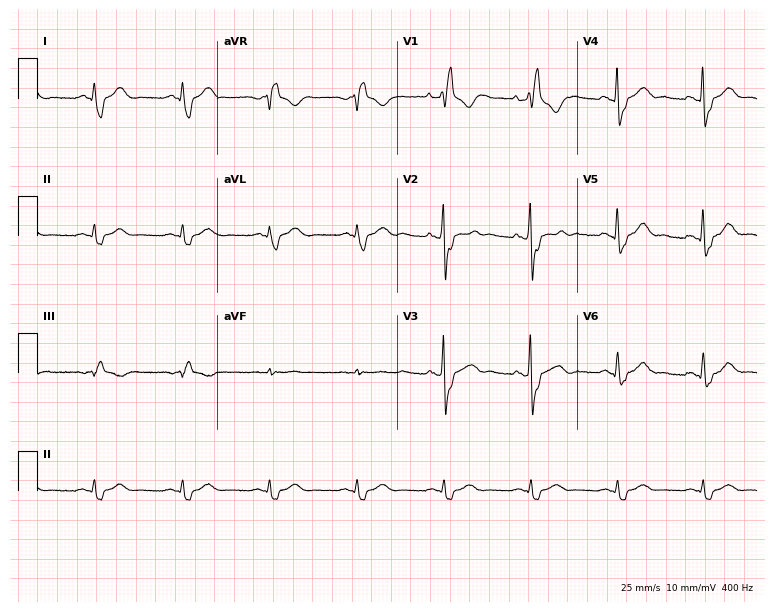
Electrocardiogram, a 59-year-old man. Interpretation includes right bundle branch block.